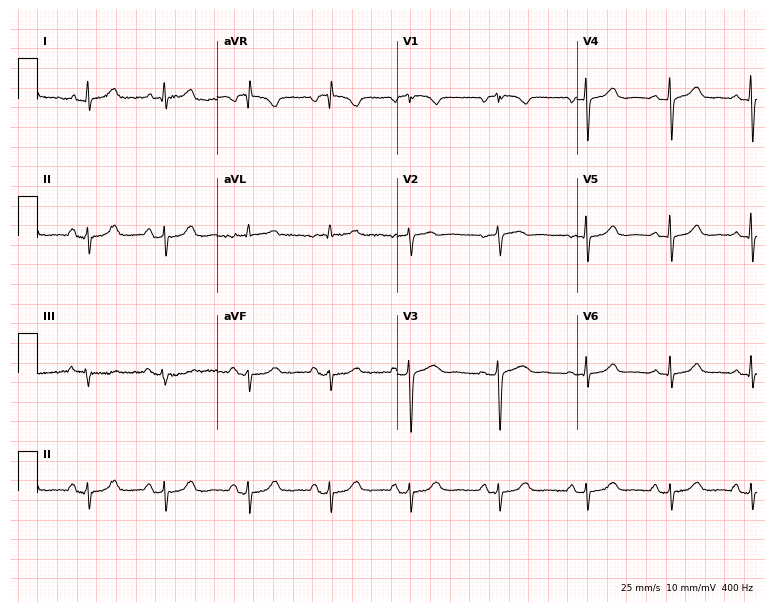
Resting 12-lead electrocardiogram (7.3-second recording at 400 Hz). Patient: a 70-year-old female. Read as a normal ECG.